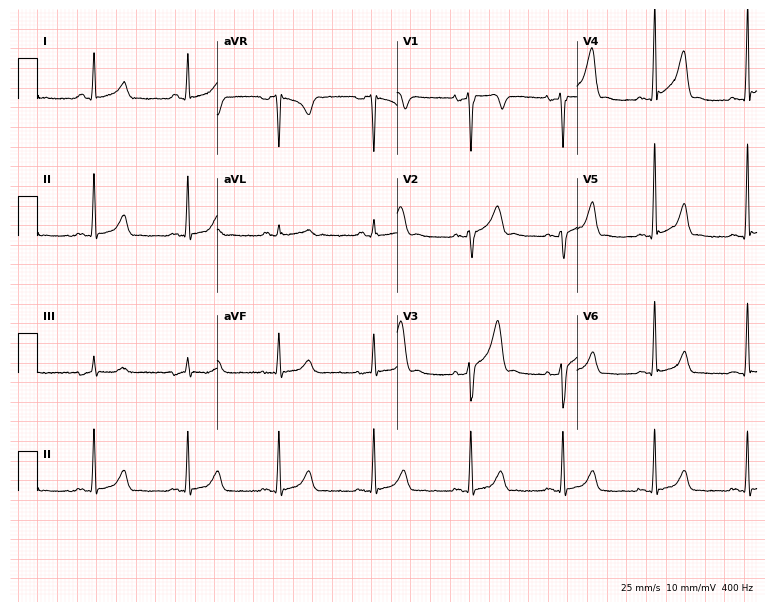
12-lead ECG from a 37-year-old male patient. Labelled as a normal ECG.